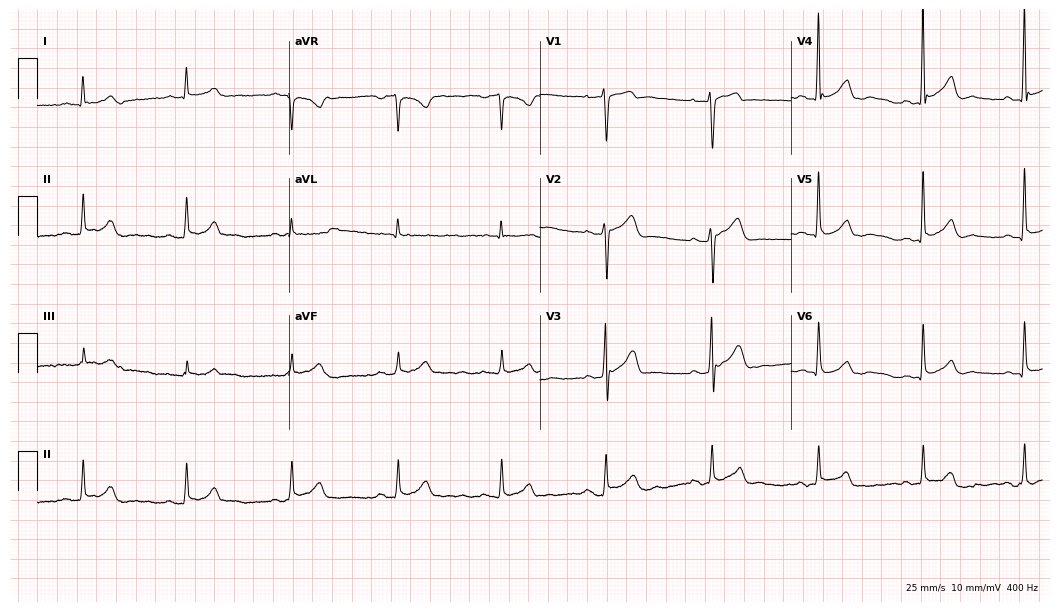
12-lead ECG from a male patient, 53 years old. Recorded interpretation: within normal limits.